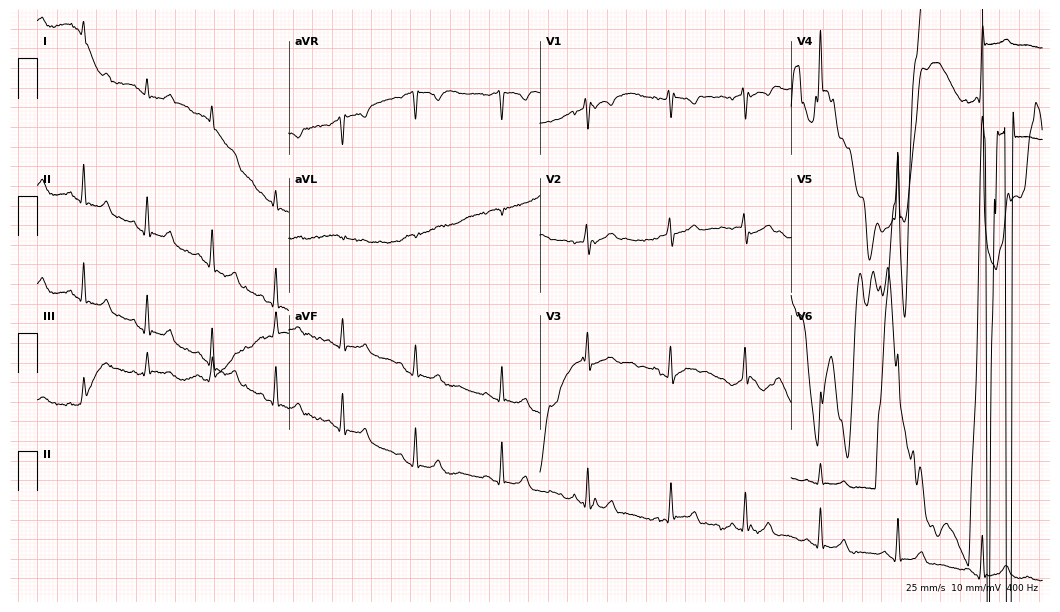
12-lead ECG from a woman, 37 years old (10.2-second recording at 400 Hz). No first-degree AV block, right bundle branch block, left bundle branch block, sinus bradycardia, atrial fibrillation or sinus tachycardia recorded for this tracing.